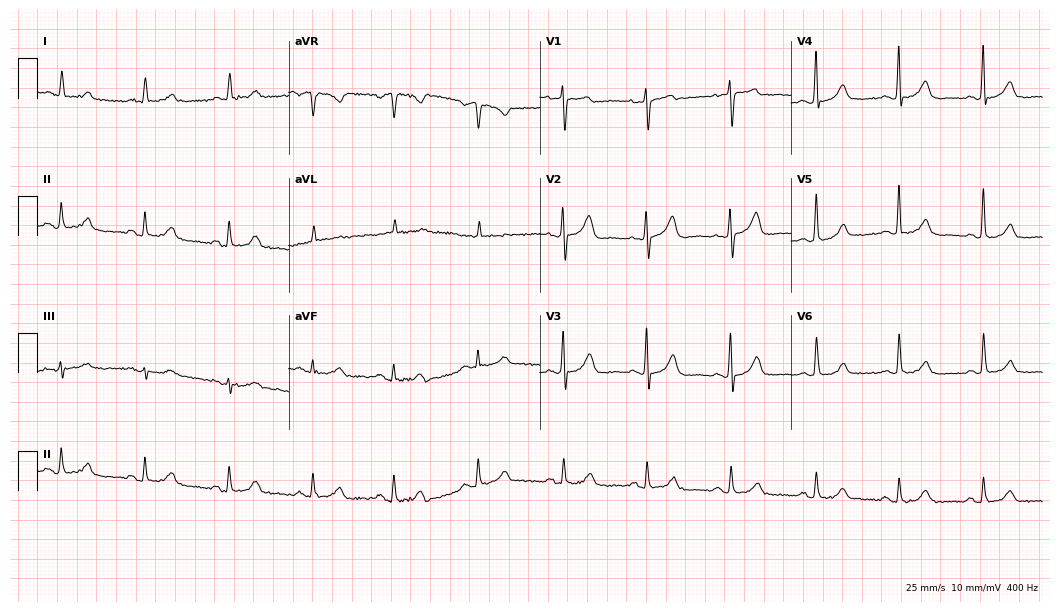
Electrocardiogram (10.2-second recording at 400 Hz), a woman, 73 years old. Overall reading on record: normal ECG.